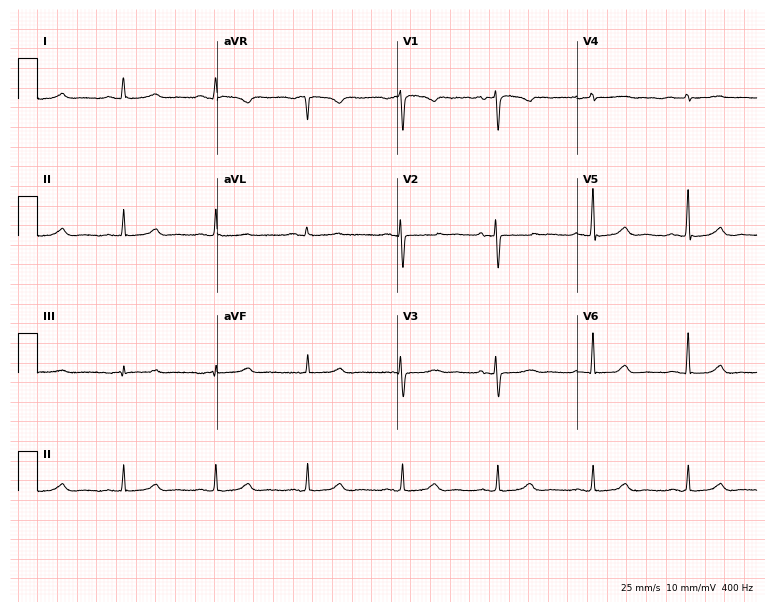
Standard 12-lead ECG recorded from a female, 46 years old. None of these six findings is recorded: first-degree AV block, right bundle branch block, left bundle branch block, sinus bradycardia, atrial fibrillation, sinus tachycardia.